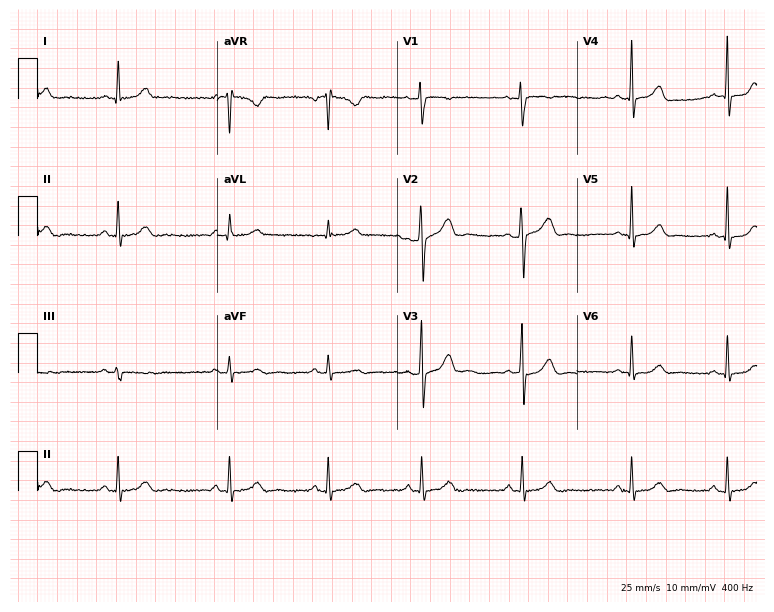
Electrocardiogram, a woman, 18 years old. Overall reading on record: normal ECG.